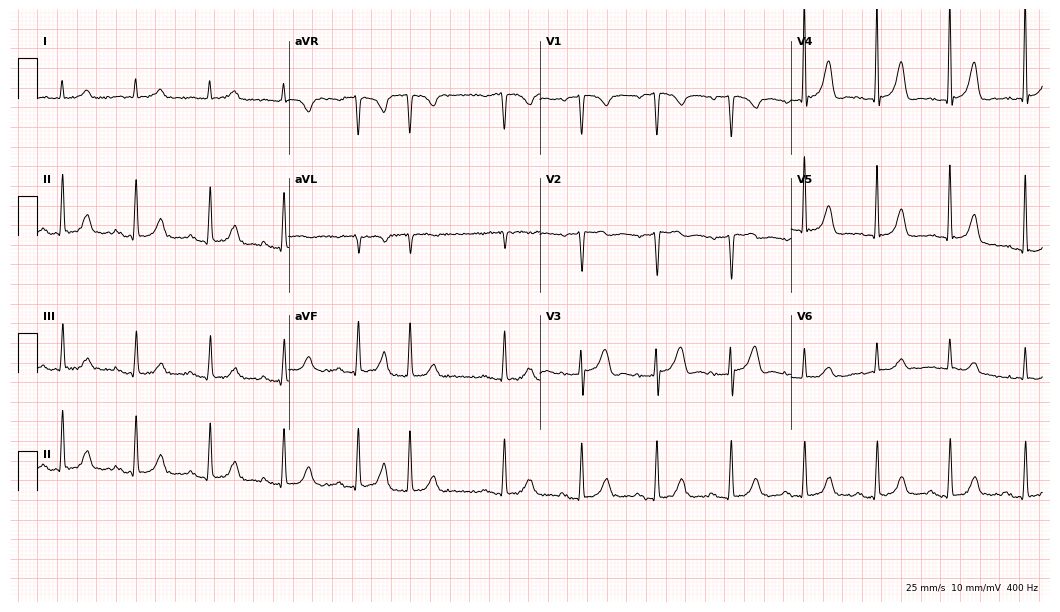
12-lead ECG (10.2-second recording at 400 Hz) from a female, 85 years old. Screened for six findings — first-degree AV block, right bundle branch block, left bundle branch block, sinus bradycardia, atrial fibrillation, sinus tachycardia — none is recorded.